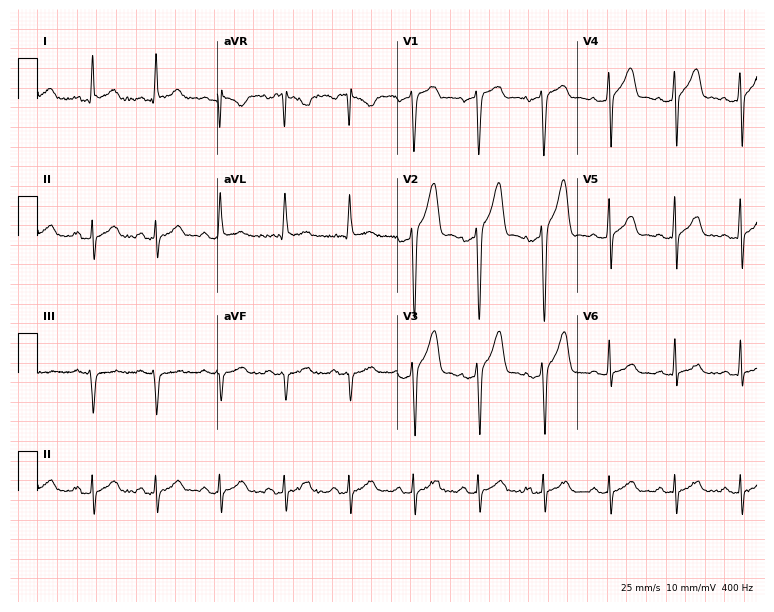
Electrocardiogram (7.3-second recording at 400 Hz), a 45-year-old man. Of the six screened findings (first-degree AV block, right bundle branch block (RBBB), left bundle branch block (LBBB), sinus bradycardia, atrial fibrillation (AF), sinus tachycardia), none is recorded. Findings outside these six are not listed.